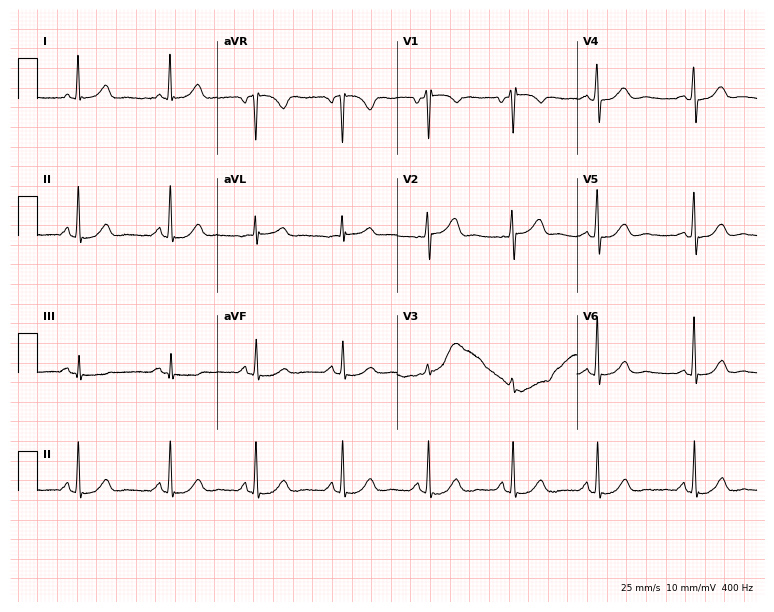
12-lead ECG from a female patient, 59 years old. No first-degree AV block, right bundle branch block (RBBB), left bundle branch block (LBBB), sinus bradycardia, atrial fibrillation (AF) or sinus tachycardia recorded for this tracing. Other findings, if any, are not listed.